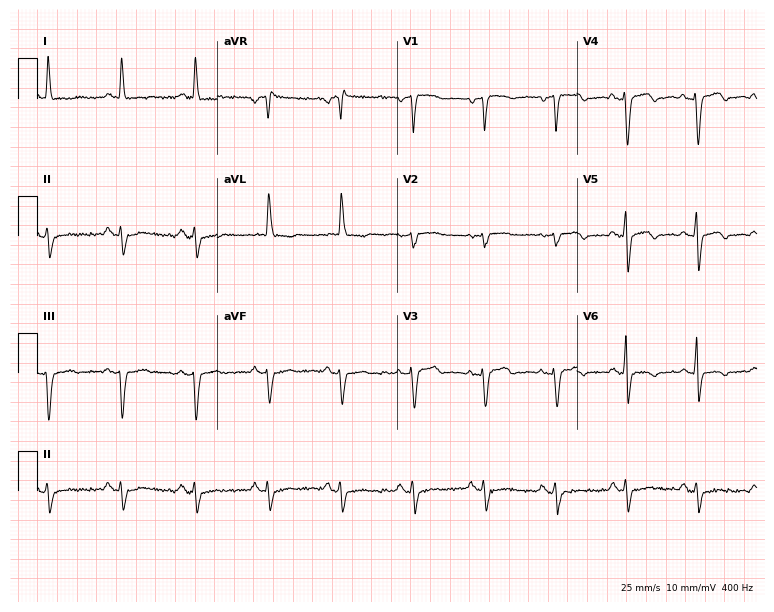
ECG — an 84-year-old female. Screened for six findings — first-degree AV block, right bundle branch block (RBBB), left bundle branch block (LBBB), sinus bradycardia, atrial fibrillation (AF), sinus tachycardia — none is recorded. Findings outside these six are not listed.